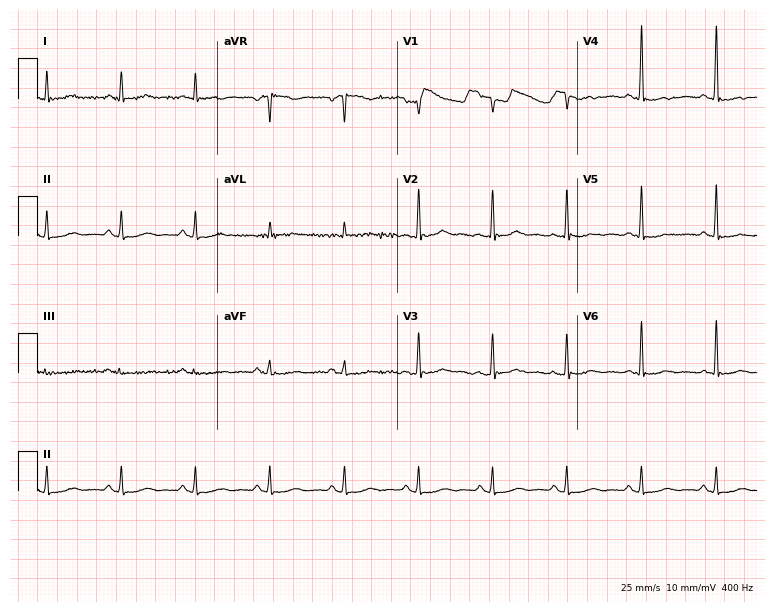
12-lead ECG from a woman, 70 years old. Recorded interpretation: within normal limits.